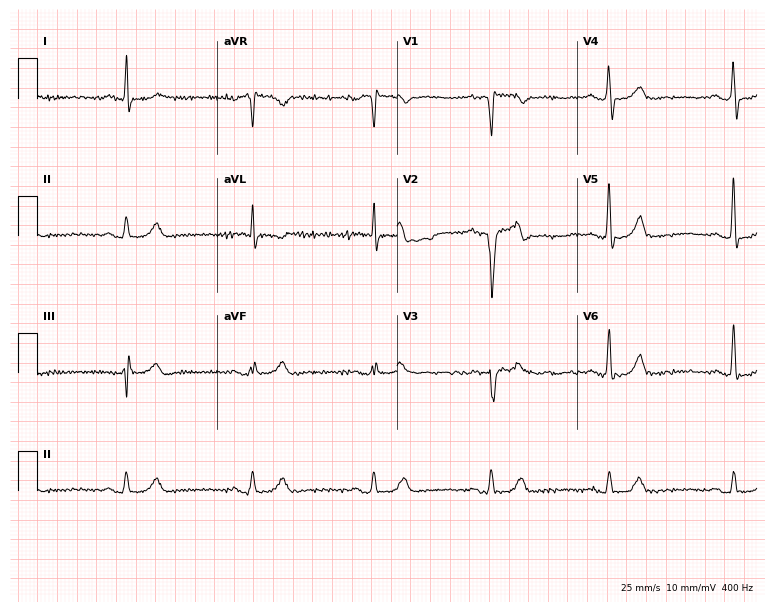
ECG (7.3-second recording at 400 Hz) — a 44-year-old male patient. Screened for six findings — first-degree AV block, right bundle branch block (RBBB), left bundle branch block (LBBB), sinus bradycardia, atrial fibrillation (AF), sinus tachycardia — none is recorded. Findings outside these six are not listed.